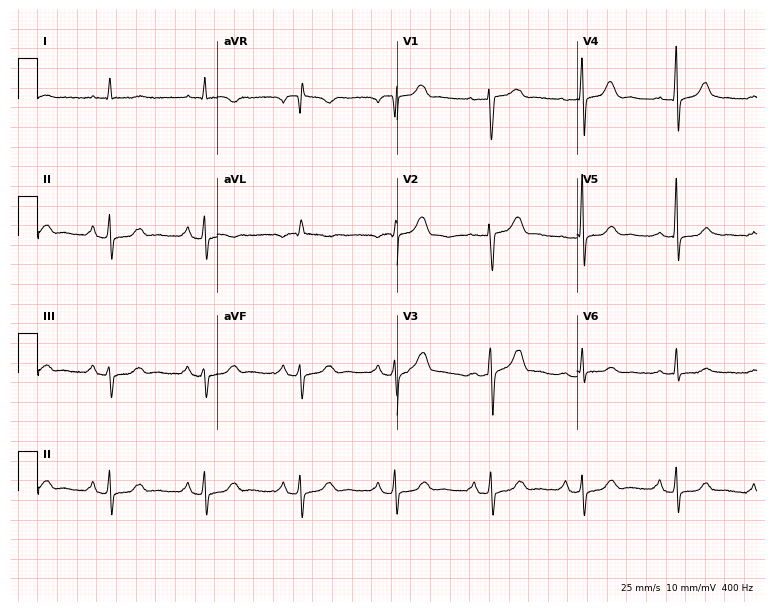
Electrocardiogram (7.3-second recording at 400 Hz), a 72-year-old female patient. Of the six screened findings (first-degree AV block, right bundle branch block (RBBB), left bundle branch block (LBBB), sinus bradycardia, atrial fibrillation (AF), sinus tachycardia), none is recorded.